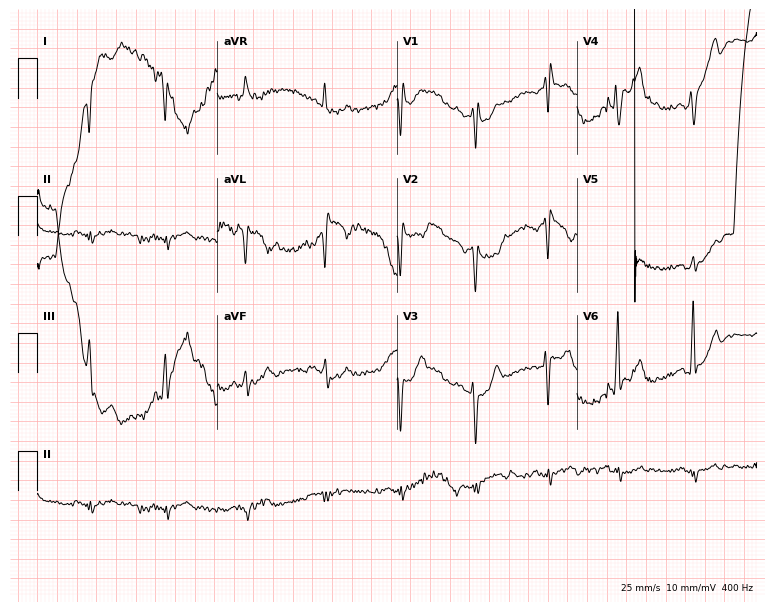
Standard 12-lead ECG recorded from a 31-year-old male patient. None of these six findings is recorded: first-degree AV block, right bundle branch block (RBBB), left bundle branch block (LBBB), sinus bradycardia, atrial fibrillation (AF), sinus tachycardia. Only these six findings were labelled.